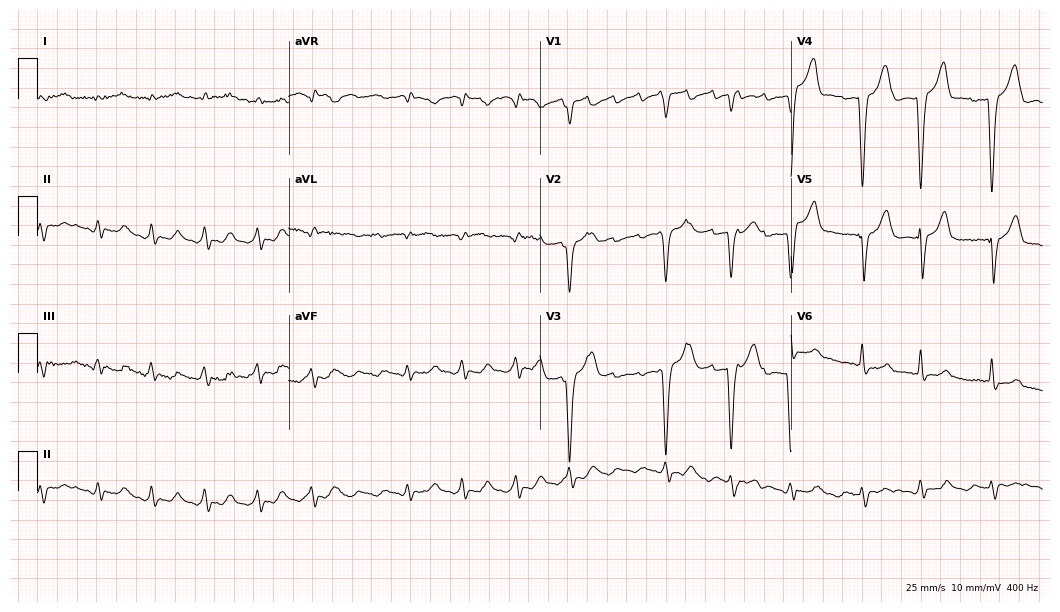
ECG — an 84-year-old man. Labelled as a normal ECG.